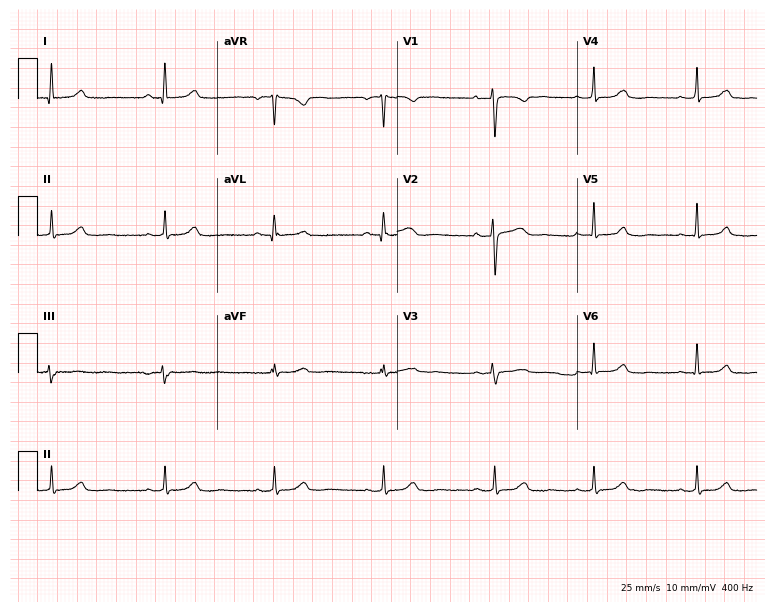
12-lead ECG from a woman, 43 years old. Labelled as a normal ECG.